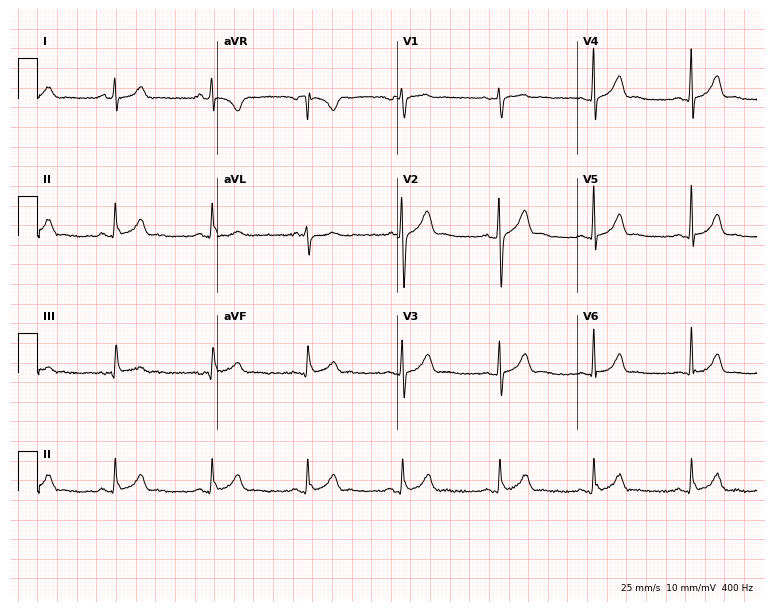
Resting 12-lead electrocardiogram (7.3-second recording at 400 Hz). Patient: a male, 21 years old. Read as a normal ECG.